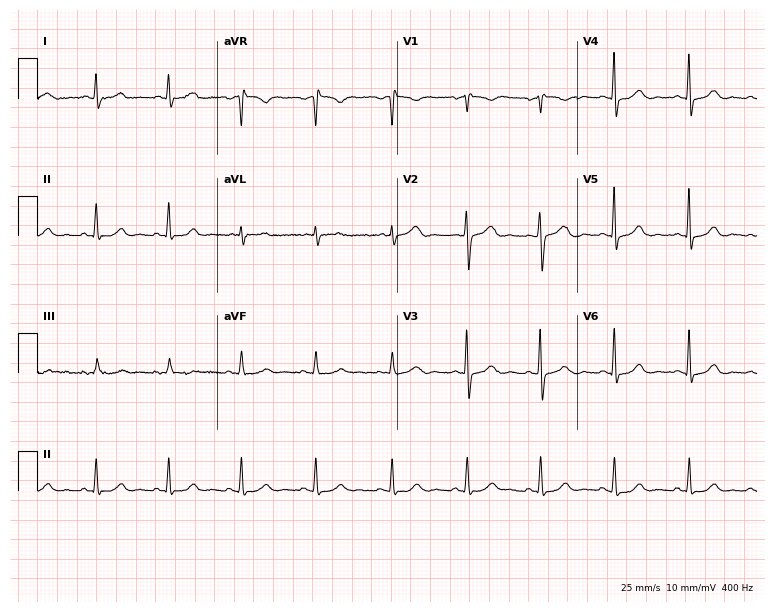
ECG — a female patient, 52 years old. Labelled as a normal ECG.